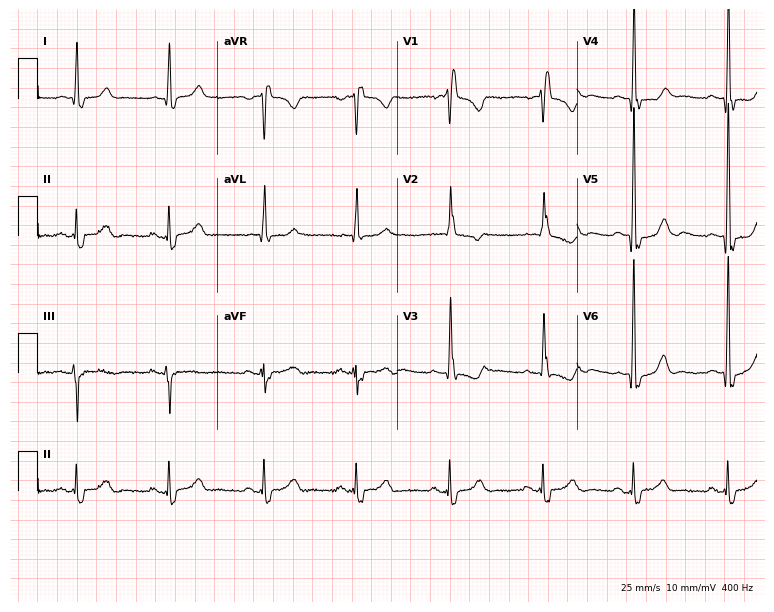
Electrocardiogram, a female patient, 76 years old. Interpretation includes right bundle branch block (RBBB).